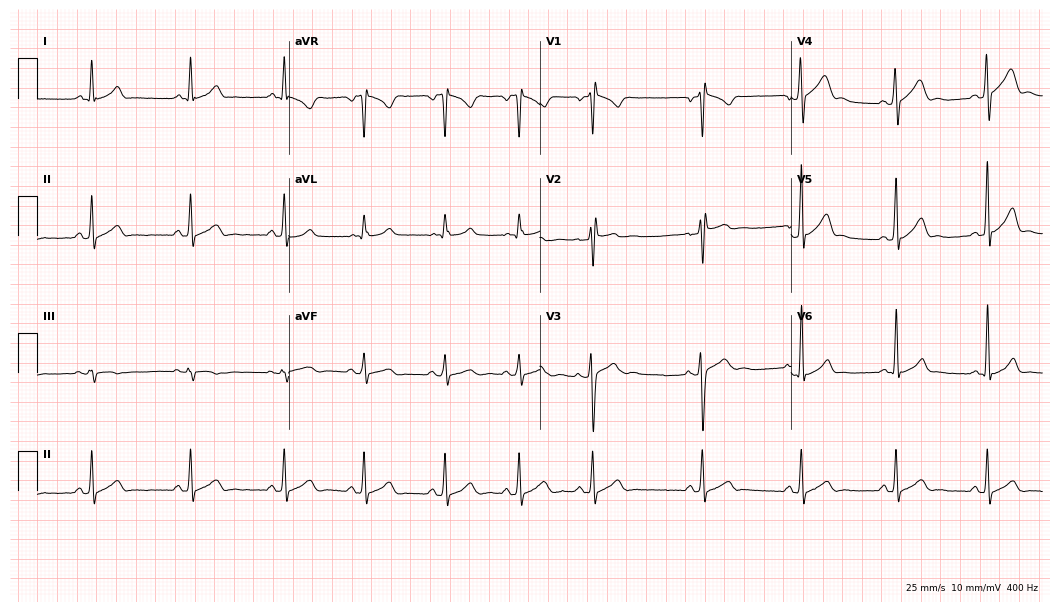
12-lead ECG from a 22-year-old man (10.2-second recording at 400 Hz). No first-degree AV block, right bundle branch block (RBBB), left bundle branch block (LBBB), sinus bradycardia, atrial fibrillation (AF) or sinus tachycardia recorded for this tracing. Findings outside these six are not listed.